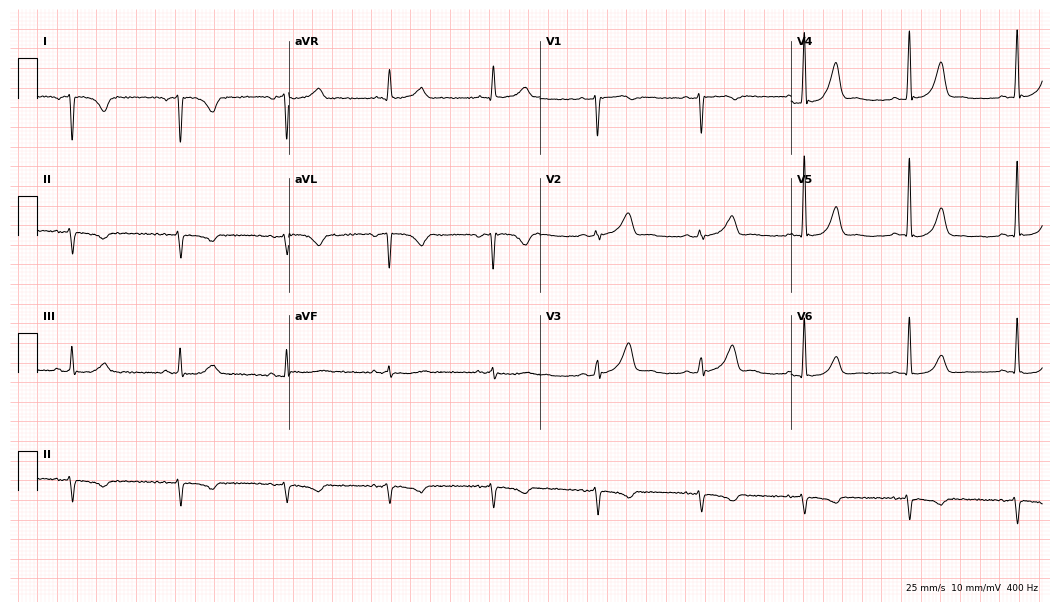
Electrocardiogram, a woman, 52 years old. Of the six screened findings (first-degree AV block, right bundle branch block, left bundle branch block, sinus bradycardia, atrial fibrillation, sinus tachycardia), none is recorded. Findings outside these six are not listed.